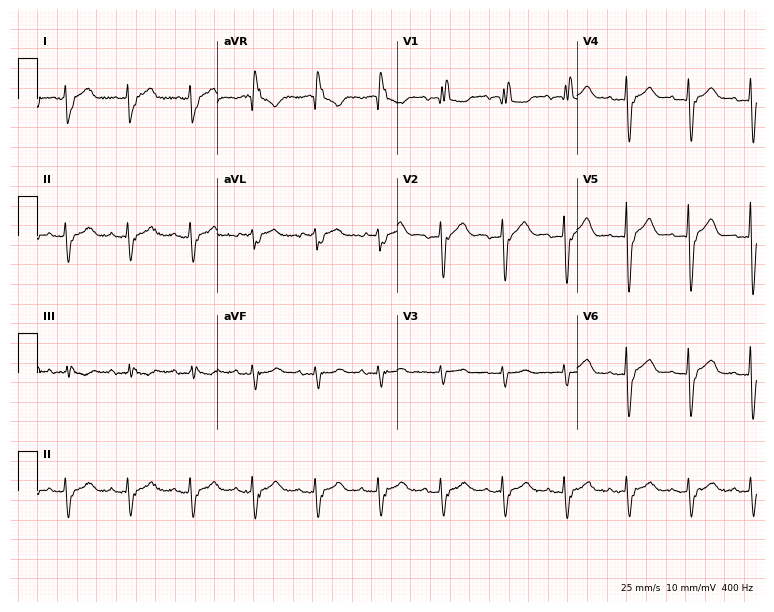
Electrocardiogram (7.3-second recording at 400 Hz), a woman, 89 years old. Interpretation includes right bundle branch block (RBBB).